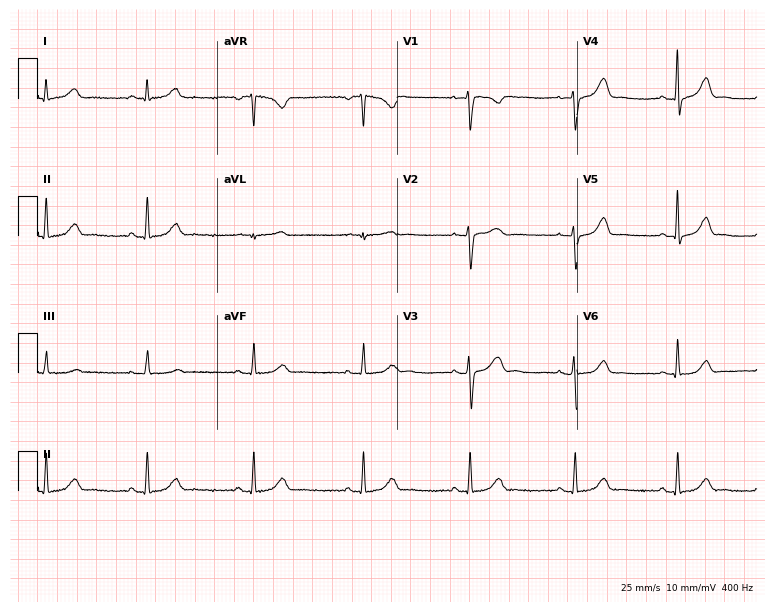
12-lead ECG from a female patient, 36 years old. Recorded interpretation: within normal limits.